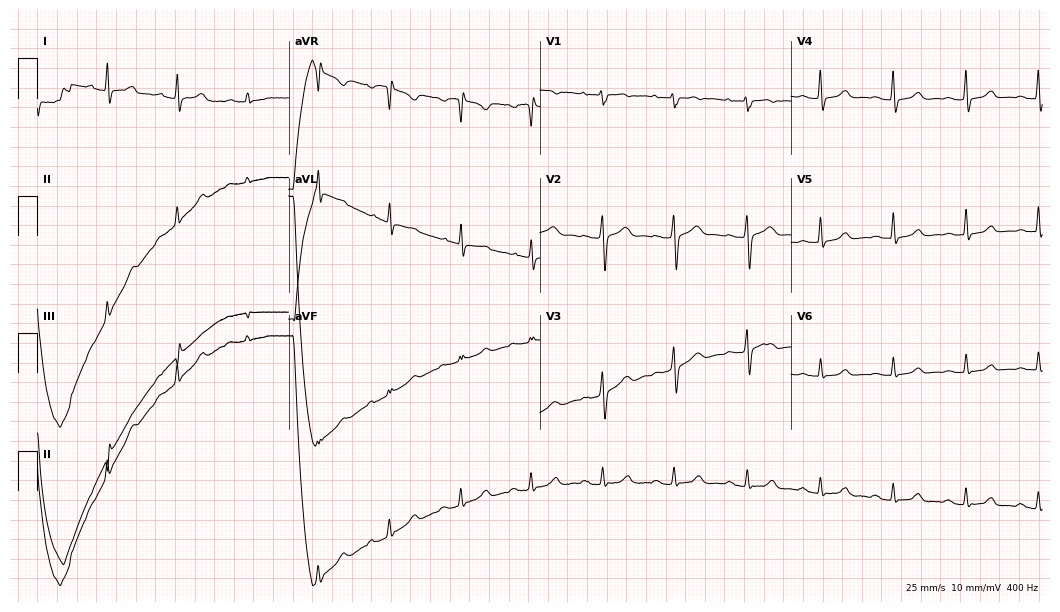
12-lead ECG from a 59-year-old woman (10.2-second recording at 400 Hz). No first-degree AV block, right bundle branch block, left bundle branch block, sinus bradycardia, atrial fibrillation or sinus tachycardia recorded for this tracing.